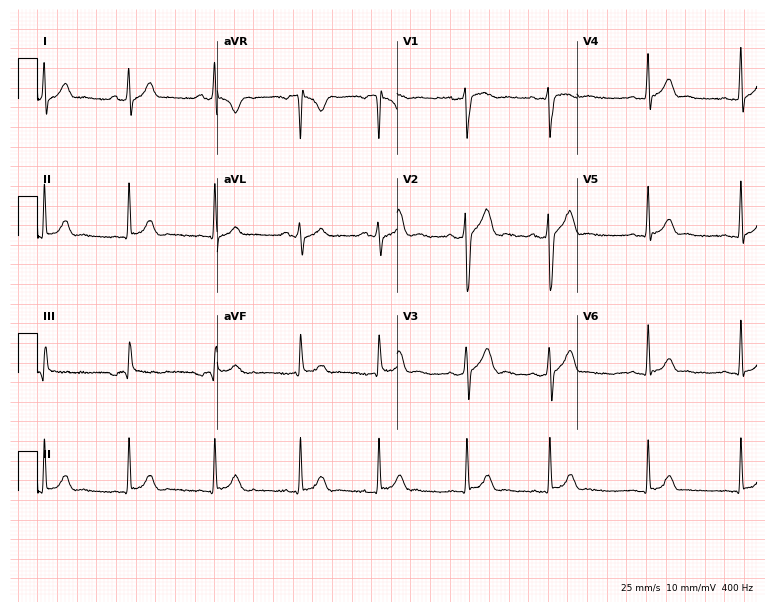
12-lead ECG from an 18-year-old man. Recorded interpretation: within normal limits.